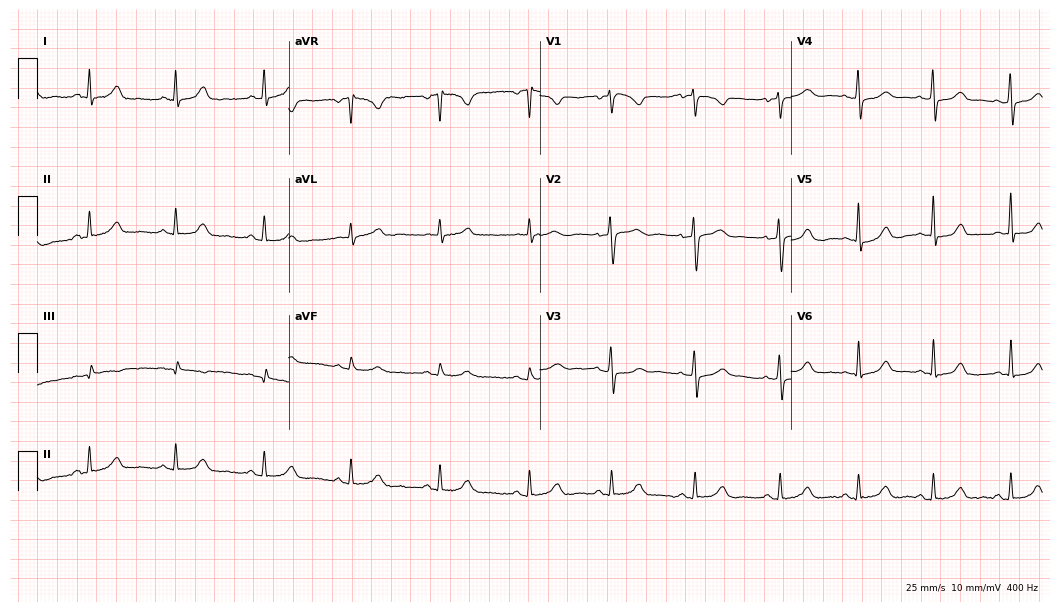
ECG (10.2-second recording at 400 Hz) — a 52-year-old woman. Screened for six findings — first-degree AV block, right bundle branch block (RBBB), left bundle branch block (LBBB), sinus bradycardia, atrial fibrillation (AF), sinus tachycardia — none is recorded. Other findings, if any, are not listed.